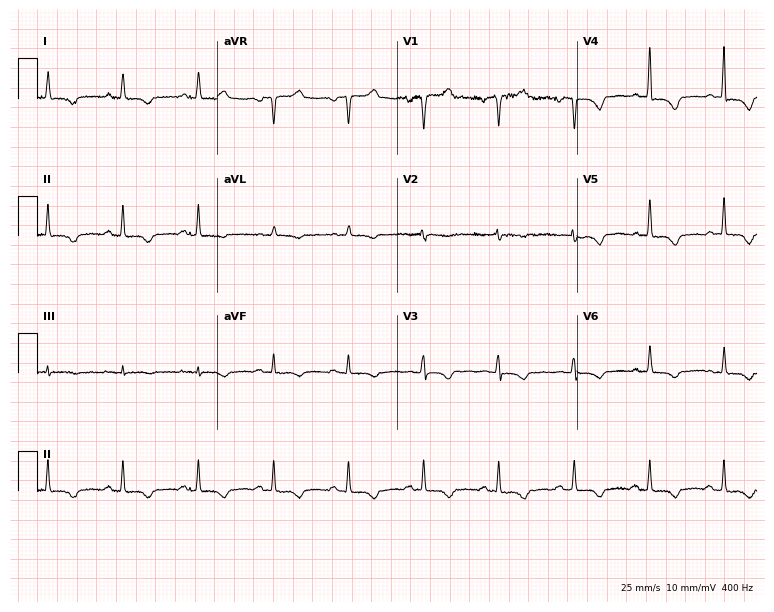
12-lead ECG (7.3-second recording at 400 Hz) from a 66-year-old female patient. Screened for six findings — first-degree AV block, right bundle branch block (RBBB), left bundle branch block (LBBB), sinus bradycardia, atrial fibrillation (AF), sinus tachycardia — none is recorded.